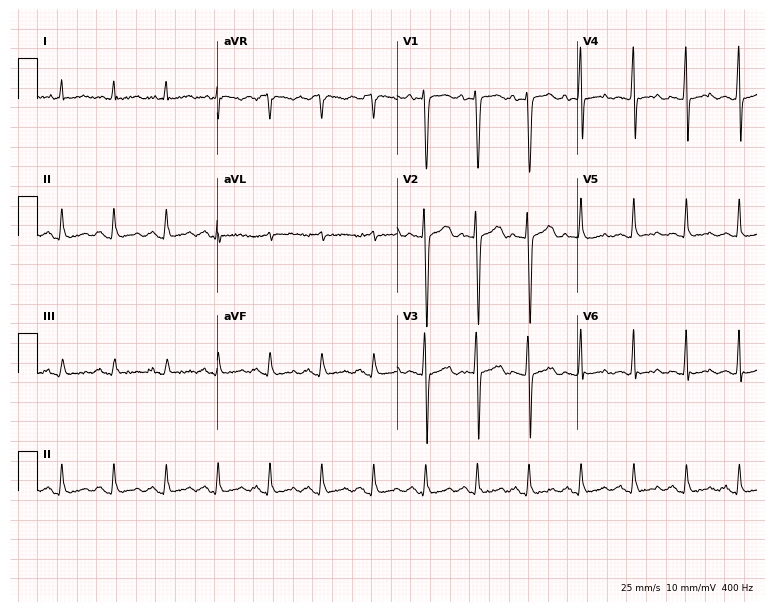
Resting 12-lead electrocardiogram. Patient: a 45-year-old man. The tracing shows sinus tachycardia (a sinus rate of 100 beats per minute or more).